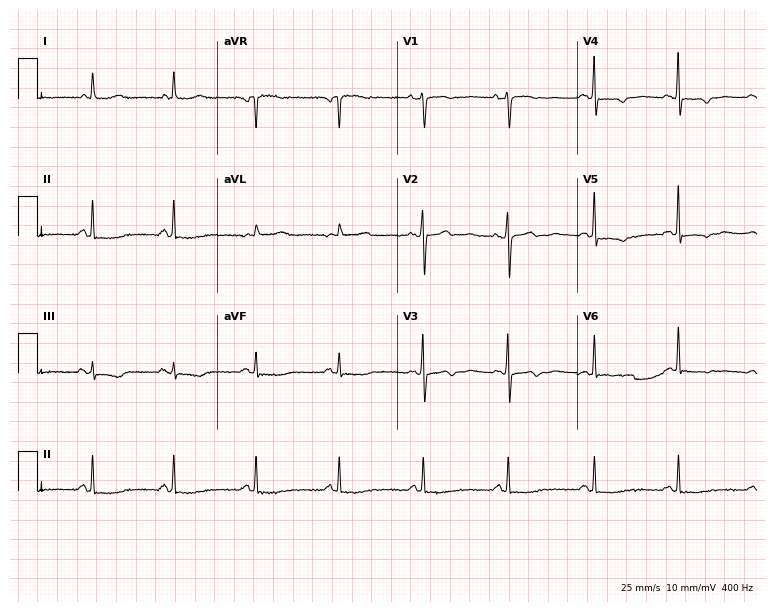
Electrocardiogram (7.3-second recording at 400 Hz), a woman, 87 years old. Of the six screened findings (first-degree AV block, right bundle branch block, left bundle branch block, sinus bradycardia, atrial fibrillation, sinus tachycardia), none is recorded. Findings outside these six are not listed.